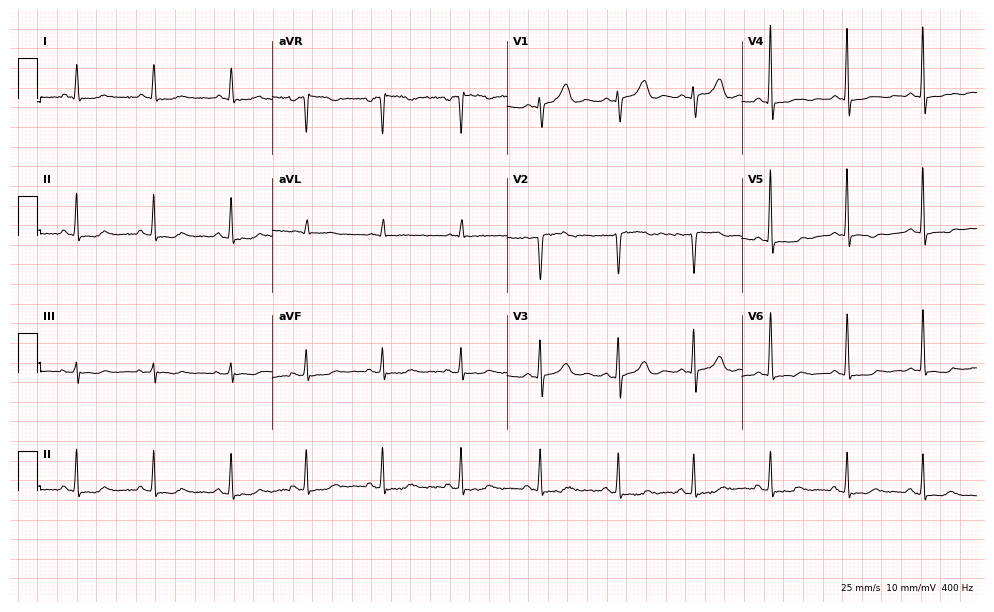
12-lead ECG (9.6-second recording at 400 Hz) from a 54-year-old female. Screened for six findings — first-degree AV block, right bundle branch block, left bundle branch block, sinus bradycardia, atrial fibrillation, sinus tachycardia — none is recorded.